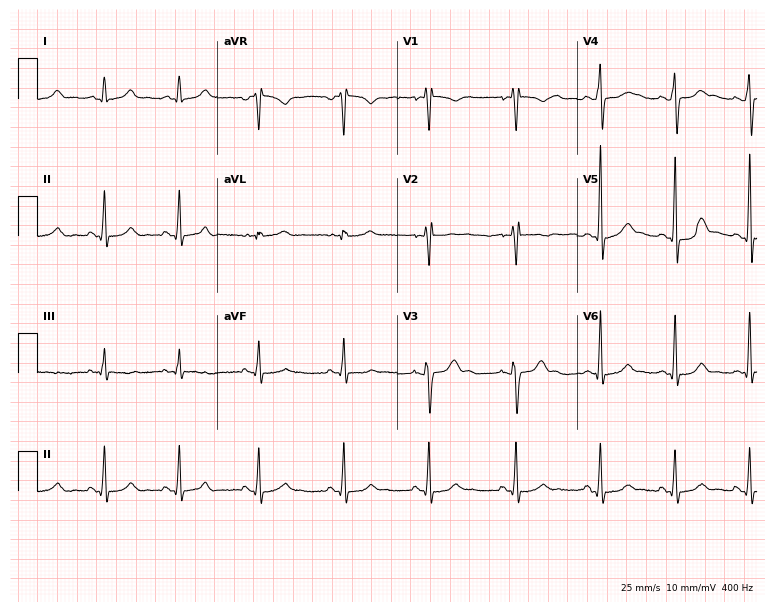
Electrocardiogram, a 30-year-old male patient. Of the six screened findings (first-degree AV block, right bundle branch block, left bundle branch block, sinus bradycardia, atrial fibrillation, sinus tachycardia), none is recorded. Findings outside these six are not listed.